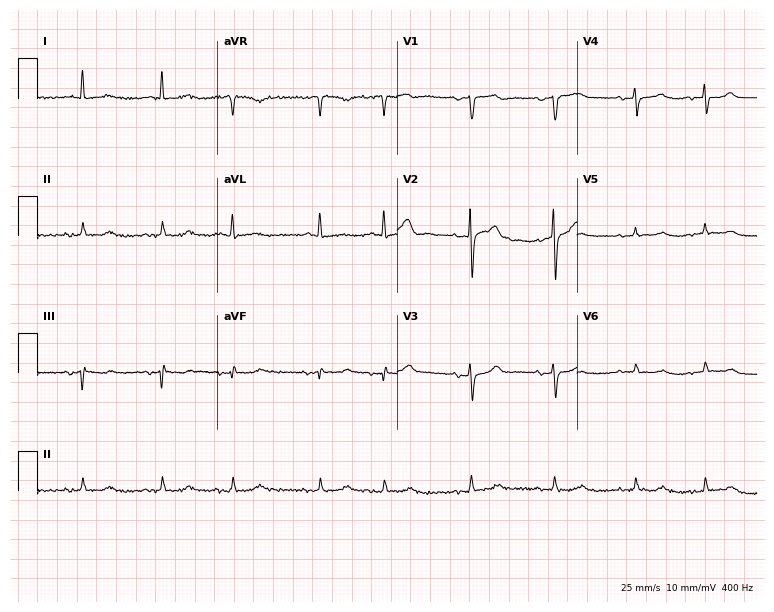
Standard 12-lead ECG recorded from a 79-year-old woman. None of these six findings is recorded: first-degree AV block, right bundle branch block (RBBB), left bundle branch block (LBBB), sinus bradycardia, atrial fibrillation (AF), sinus tachycardia.